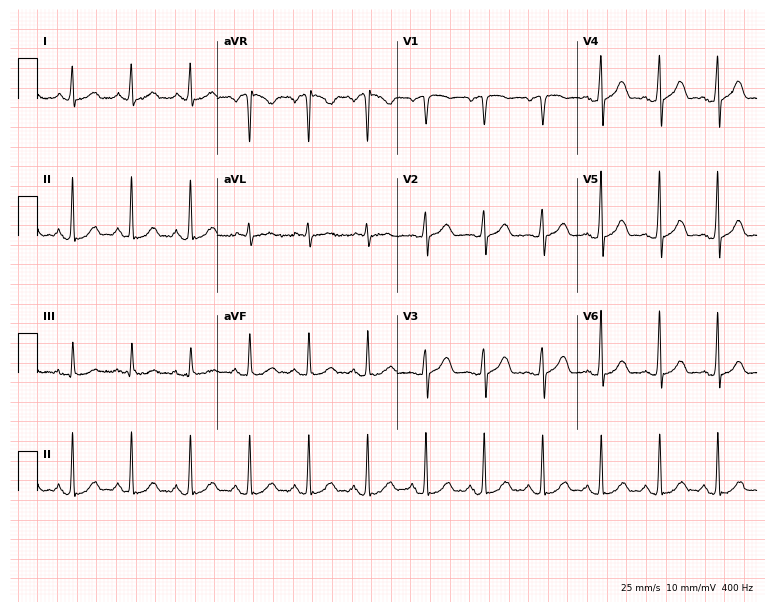
Resting 12-lead electrocardiogram (7.3-second recording at 400 Hz). Patient: a 64-year-old woman. The tracing shows sinus tachycardia (a sinus rate of 100 beats per minute or more).